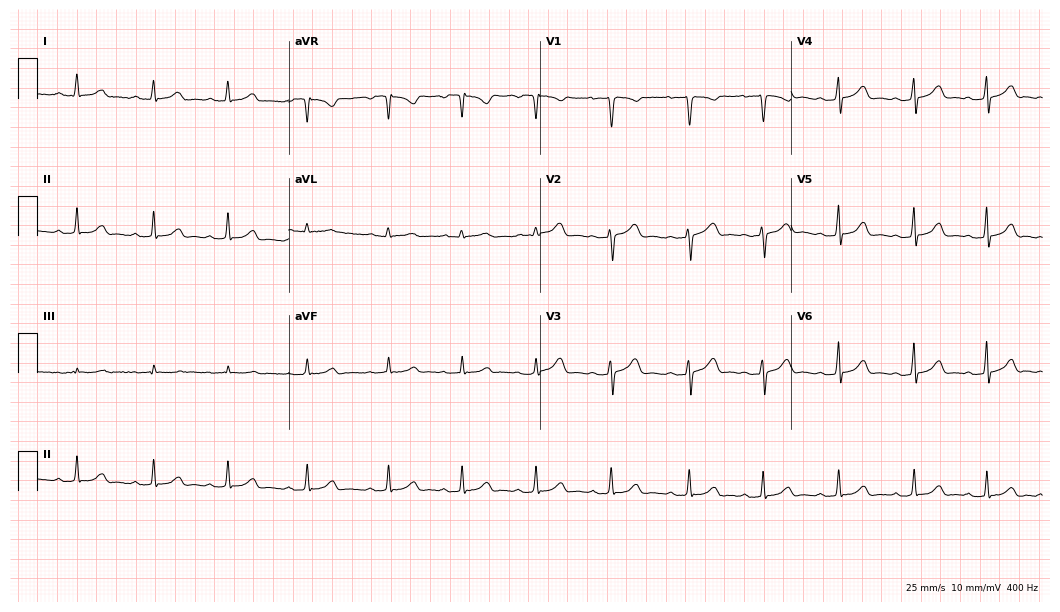
Resting 12-lead electrocardiogram. Patient: a 27-year-old female. None of these six findings is recorded: first-degree AV block, right bundle branch block, left bundle branch block, sinus bradycardia, atrial fibrillation, sinus tachycardia.